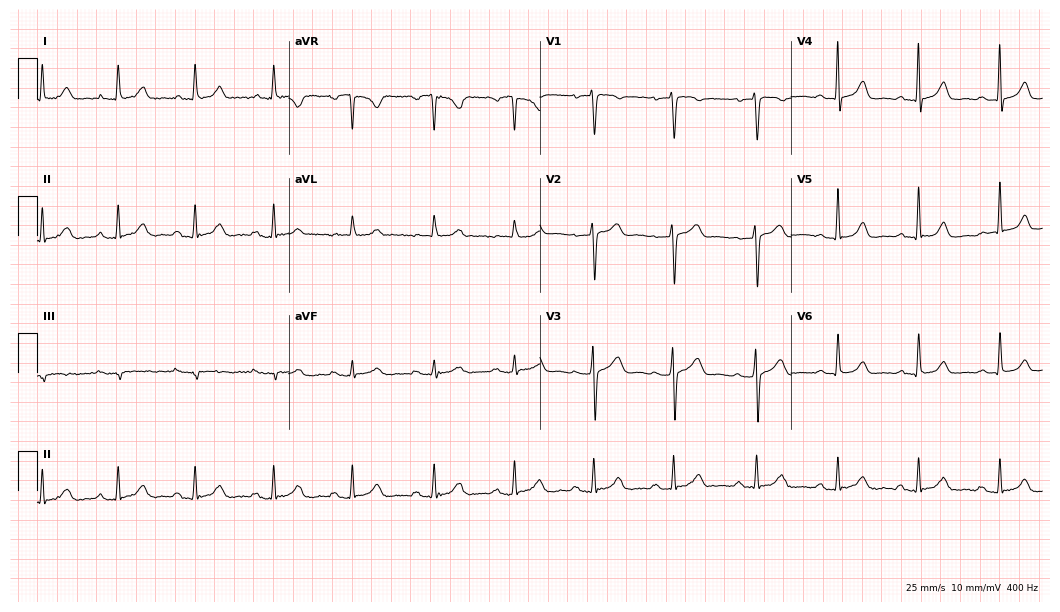
ECG — a 53-year-old female patient. Labelled as a normal ECG.